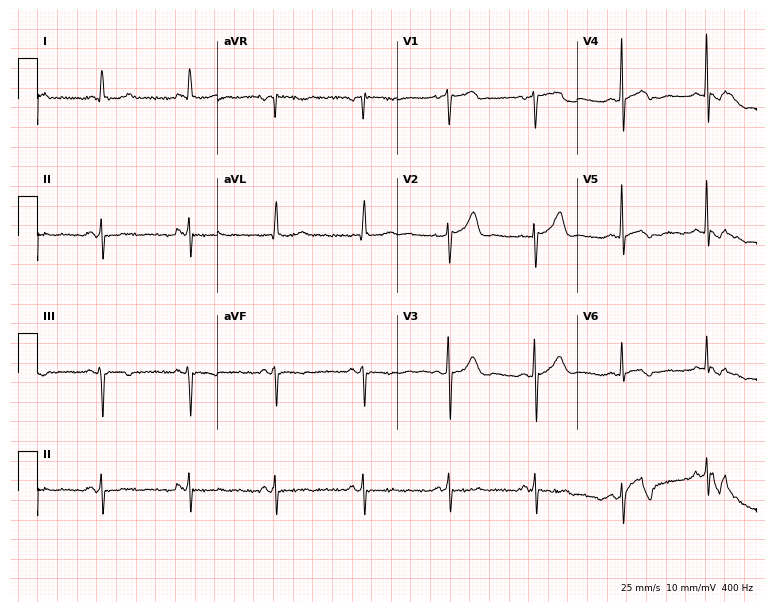
12-lead ECG from an 84-year-old male patient. Screened for six findings — first-degree AV block, right bundle branch block, left bundle branch block, sinus bradycardia, atrial fibrillation, sinus tachycardia — none is recorded. Findings outside these six are not listed.